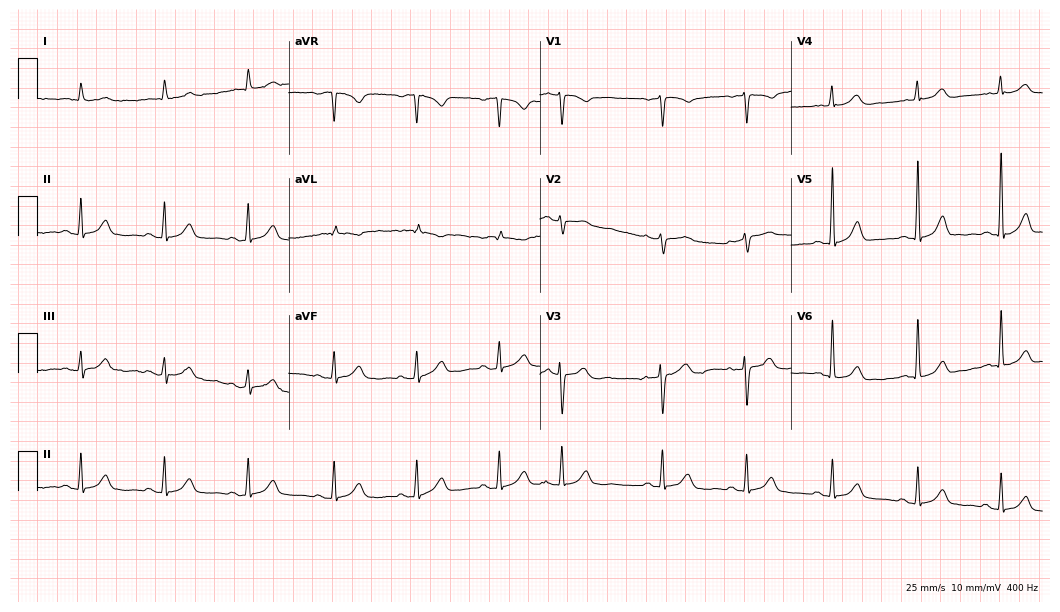
ECG — a woman, 83 years old. Screened for six findings — first-degree AV block, right bundle branch block, left bundle branch block, sinus bradycardia, atrial fibrillation, sinus tachycardia — none is recorded.